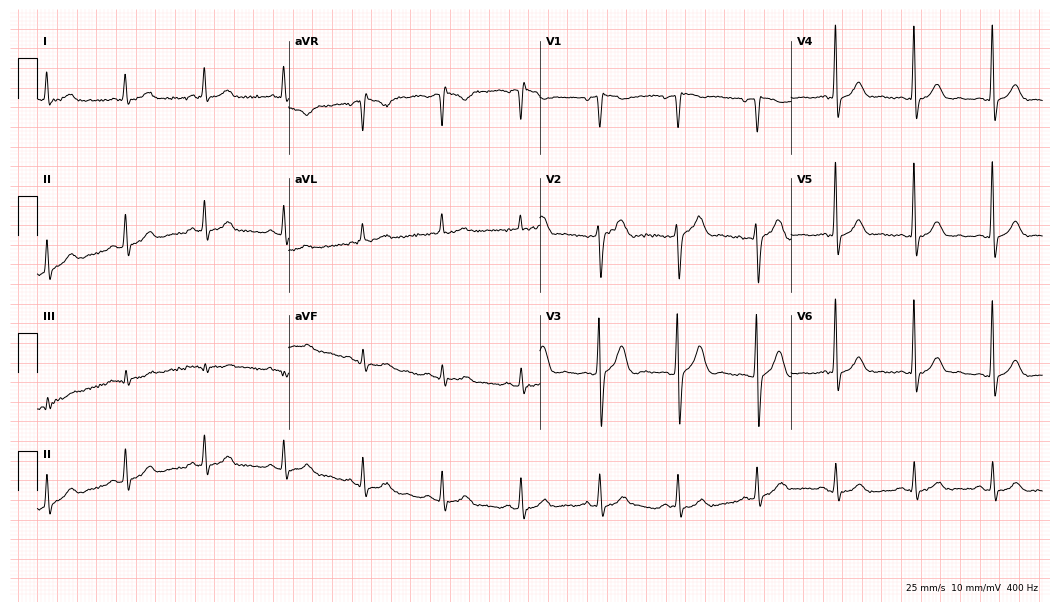
12-lead ECG from a man, 74 years old. Labelled as a normal ECG.